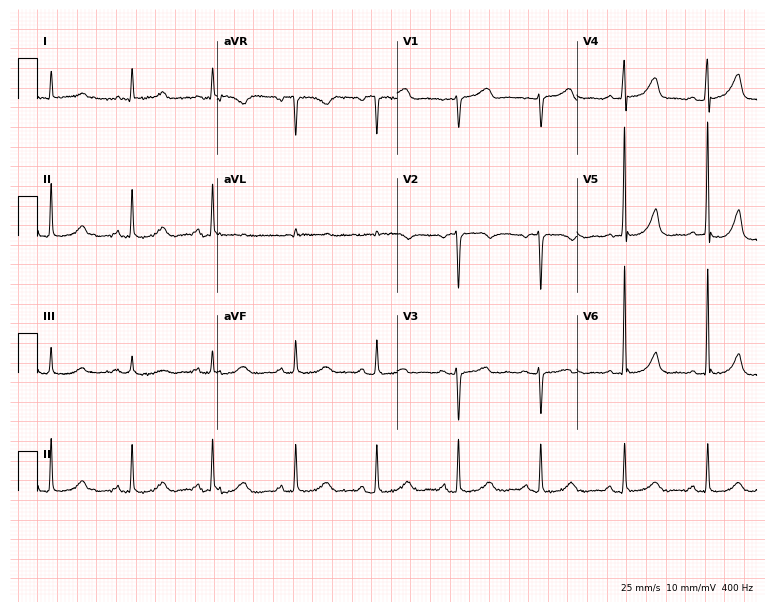
ECG (7.3-second recording at 400 Hz) — a 44-year-old woman. Screened for six findings — first-degree AV block, right bundle branch block, left bundle branch block, sinus bradycardia, atrial fibrillation, sinus tachycardia — none is recorded. Only these six findings were labelled.